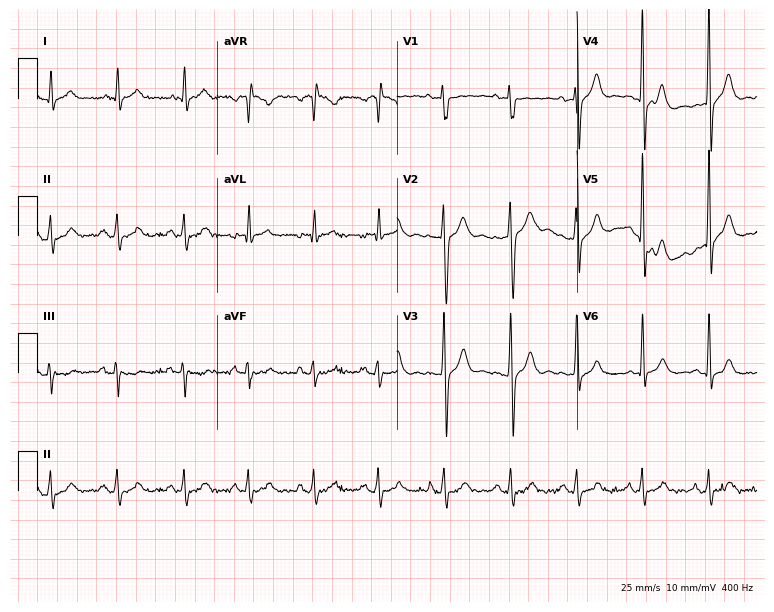
Resting 12-lead electrocardiogram. Patient: a 44-year-old man. Read as a normal ECG.